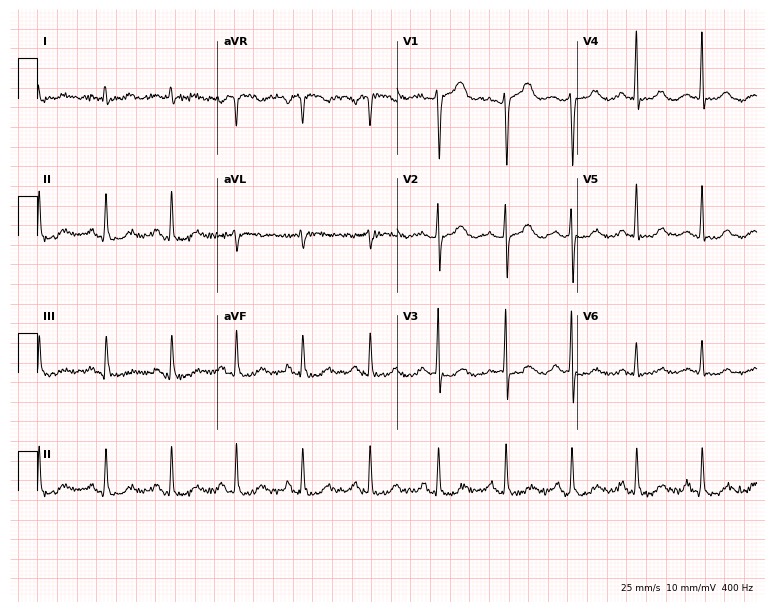
ECG — a 78-year-old female patient. Labelled as a normal ECG.